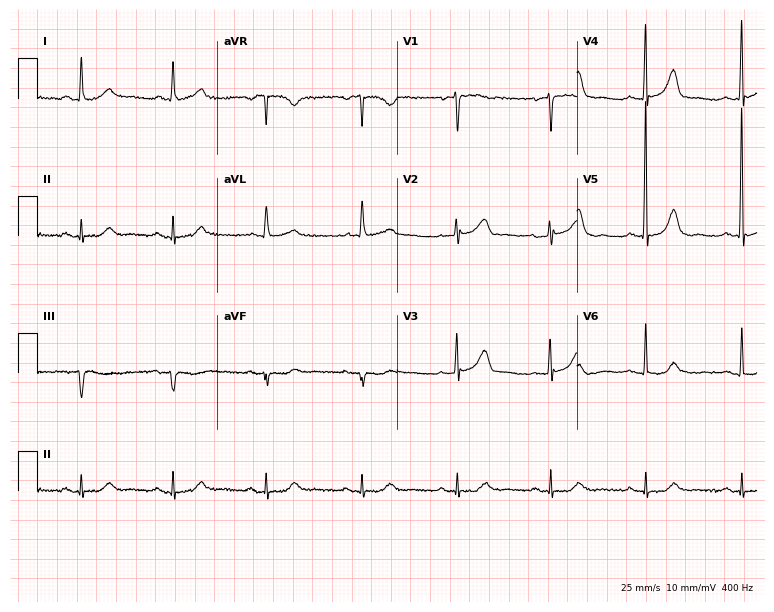
12-lead ECG (7.3-second recording at 400 Hz) from an 81-year-old woman. Screened for six findings — first-degree AV block, right bundle branch block, left bundle branch block, sinus bradycardia, atrial fibrillation, sinus tachycardia — none is recorded. Findings outside these six are not listed.